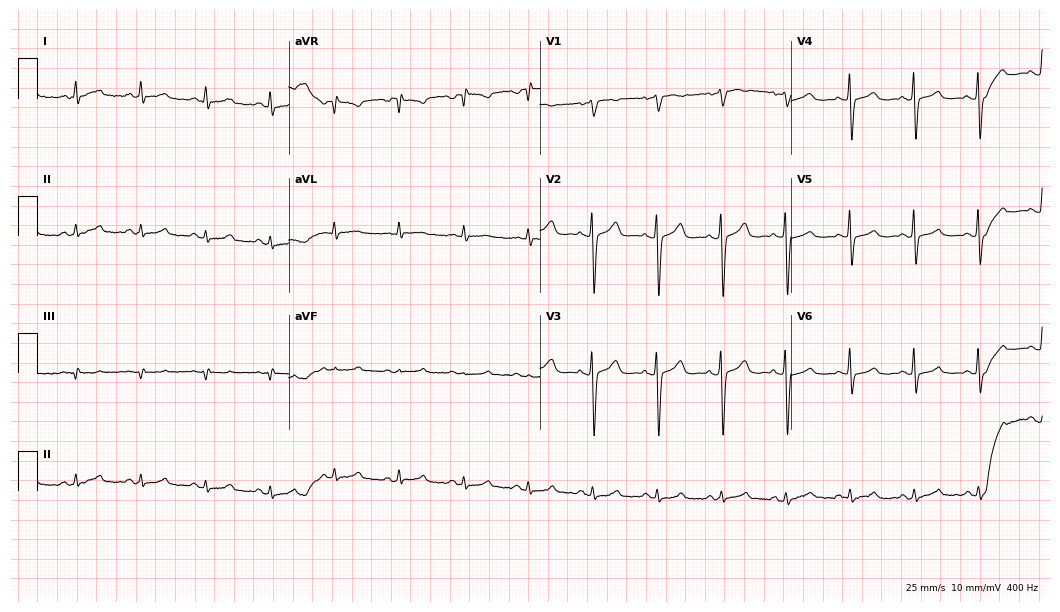
Electrocardiogram, a 53-year-old female. Overall reading on record: normal ECG.